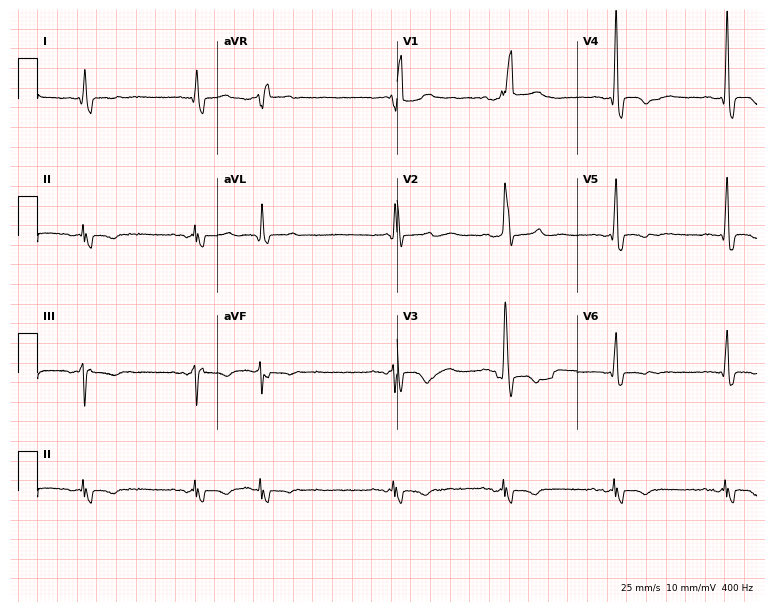
12-lead ECG from an 84-year-old man (7.3-second recording at 400 Hz). No first-degree AV block, right bundle branch block, left bundle branch block, sinus bradycardia, atrial fibrillation or sinus tachycardia recorded for this tracing.